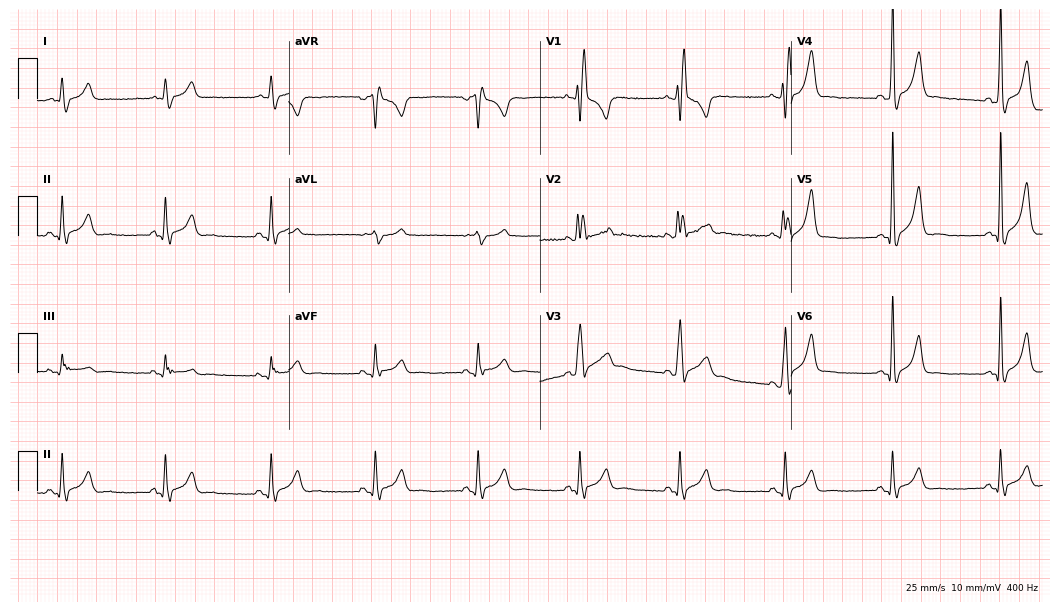
ECG (10.2-second recording at 400 Hz) — a male patient, 36 years old. Findings include right bundle branch block.